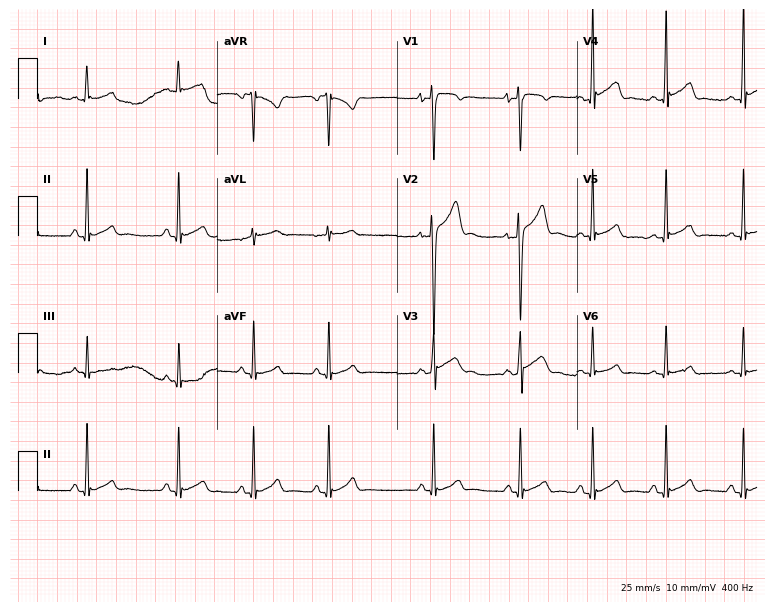
ECG (7.3-second recording at 400 Hz) — a 23-year-old male patient. Labelled as a normal ECG.